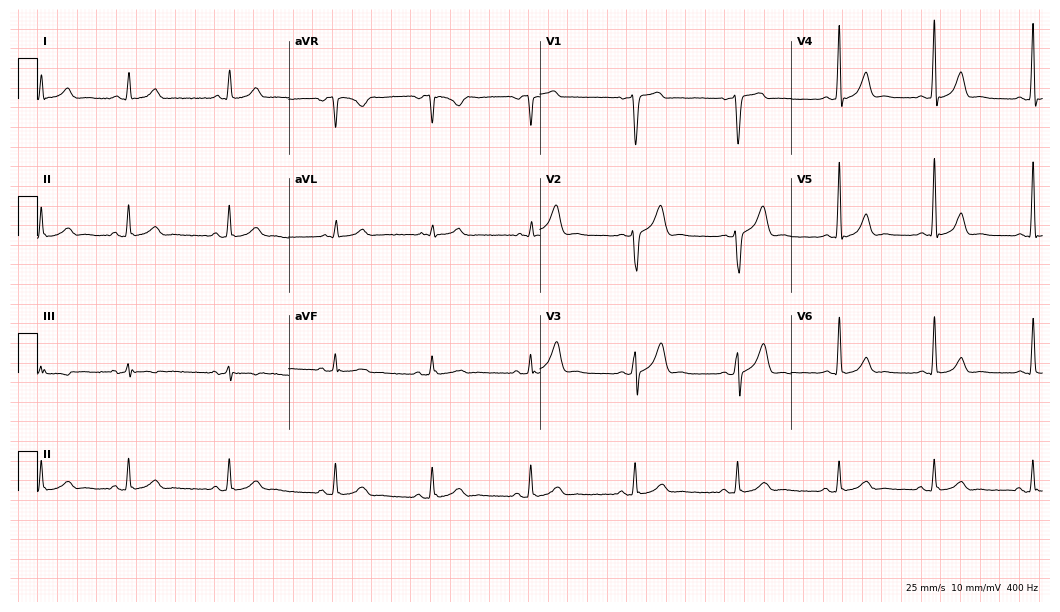
Standard 12-lead ECG recorded from a male, 36 years old. None of these six findings is recorded: first-degree AV block, right bundle branch block, left bundle branch block, sinus bradycardia, atrial fibrillation, sinus tachycardia. Only these six findings were labelled.